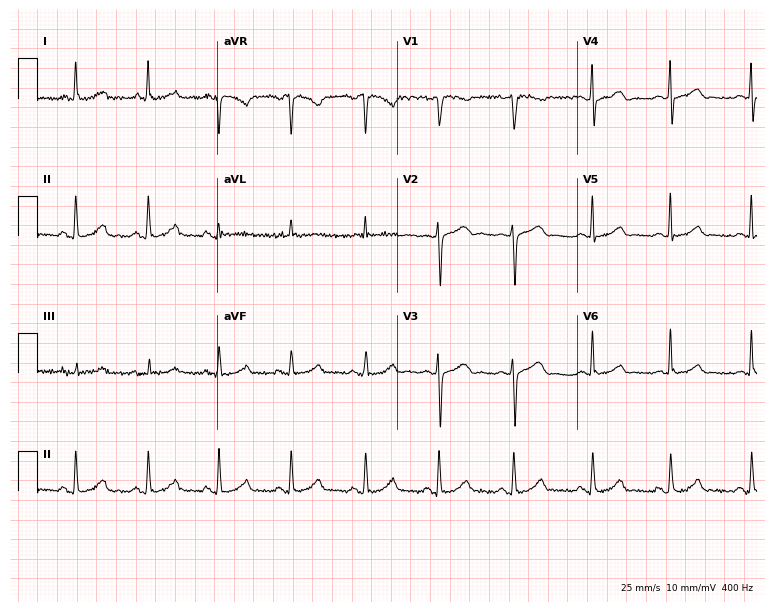
12-lead ECG from a woman, 57 years old. Labelled as a normal ECG.